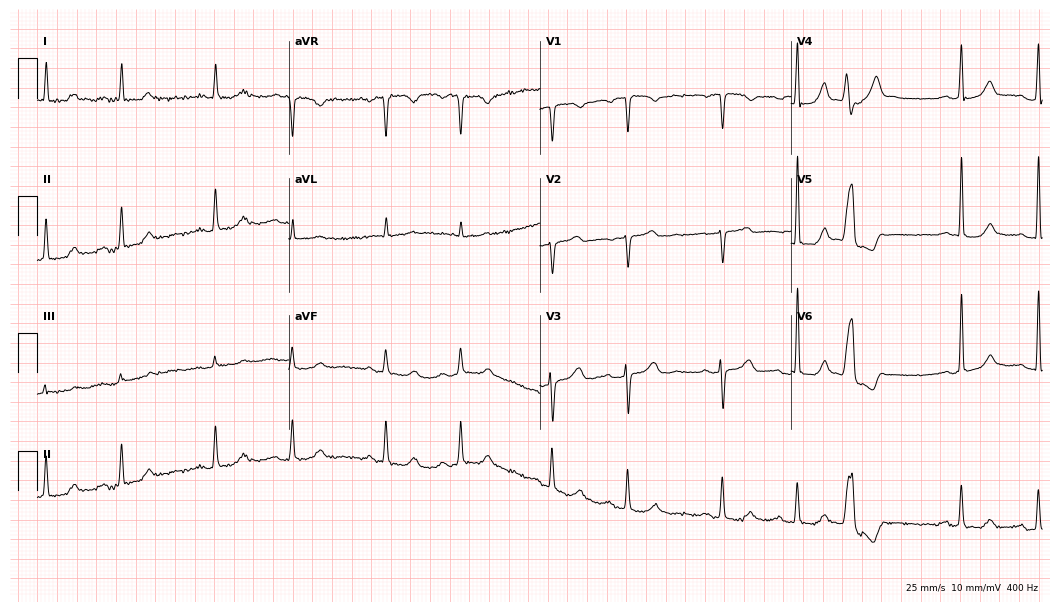
Standard 12-lead ECG recorded from a 62-year-old woman (10.2-second recording at 400 Hz). None of these six findings is recorded: first-degree AV block, right bundle branch block, left bundle branch block, sinus bradycardia, atrial fibrillation, sinus tachycardia. Findings outside these six are not listed.